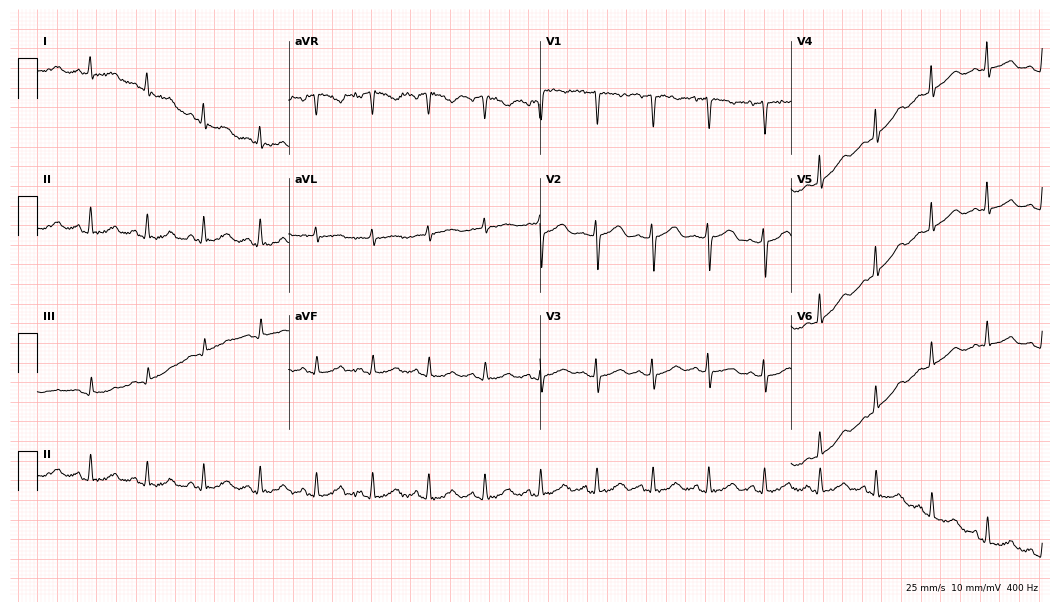
Electrocardiogram, a female, 46 years old. Interpretation includes sinus tachycardia (a sinus rate of 100 beats per minute or more).